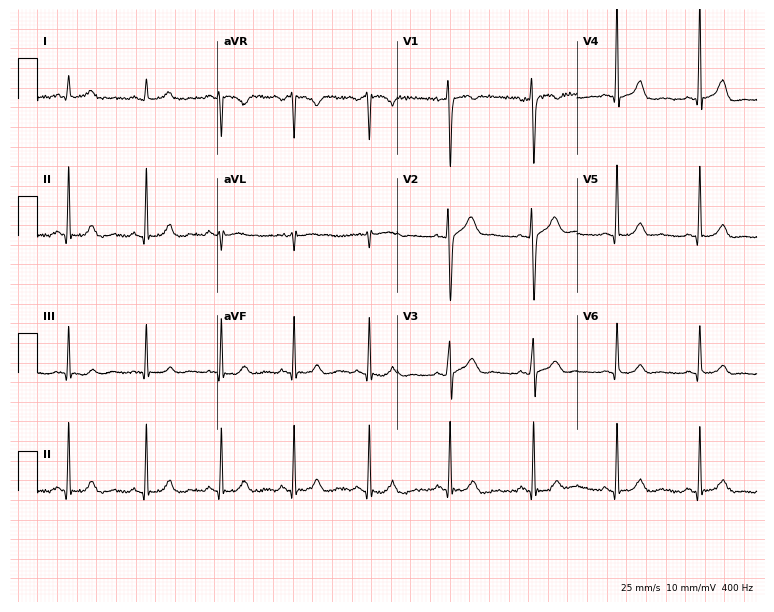
ECG — a female patient, 32 years old. Labelled as a normal ECG.